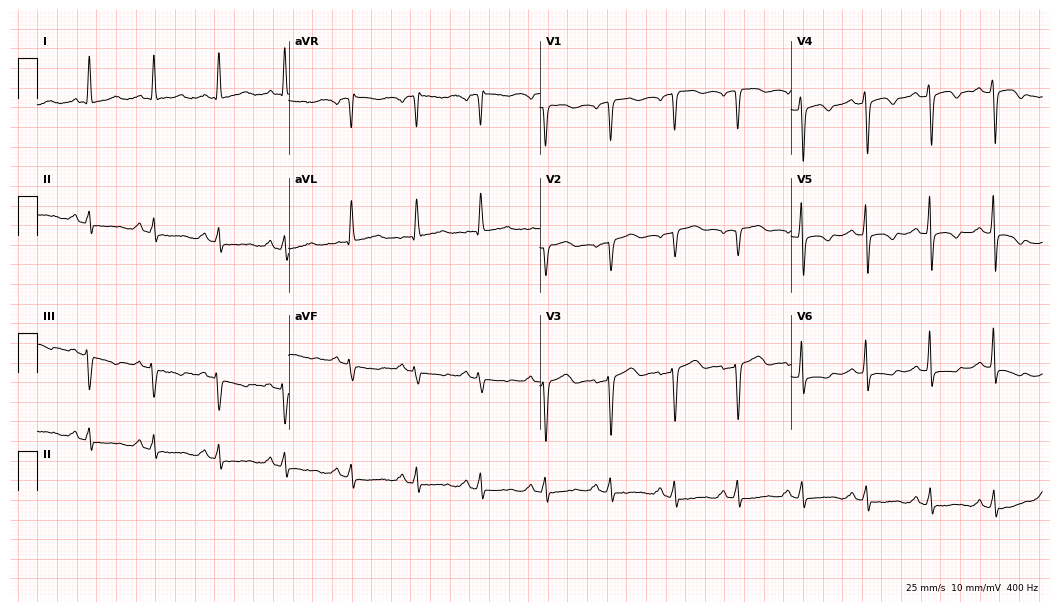
12-lead ECG from a 71-year-old female patient. Screened for six findings — first-degree AV block, right bundle branch block (RBBB), left bundle branch block (LBBB), sinus bradycardia, atrial fibrillation (AF), sinus tachycardia — none is recorded.